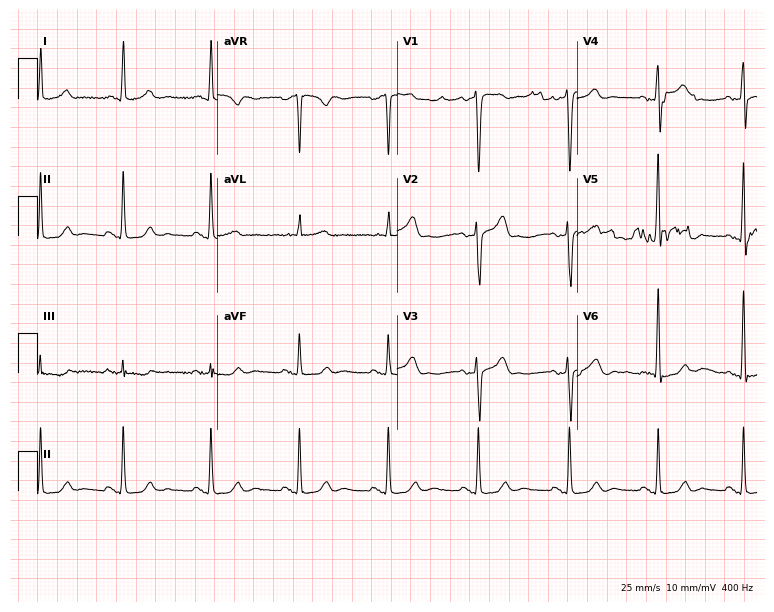
12-lead ECG from a male, 47 years old. Labelled as a normal ECG.